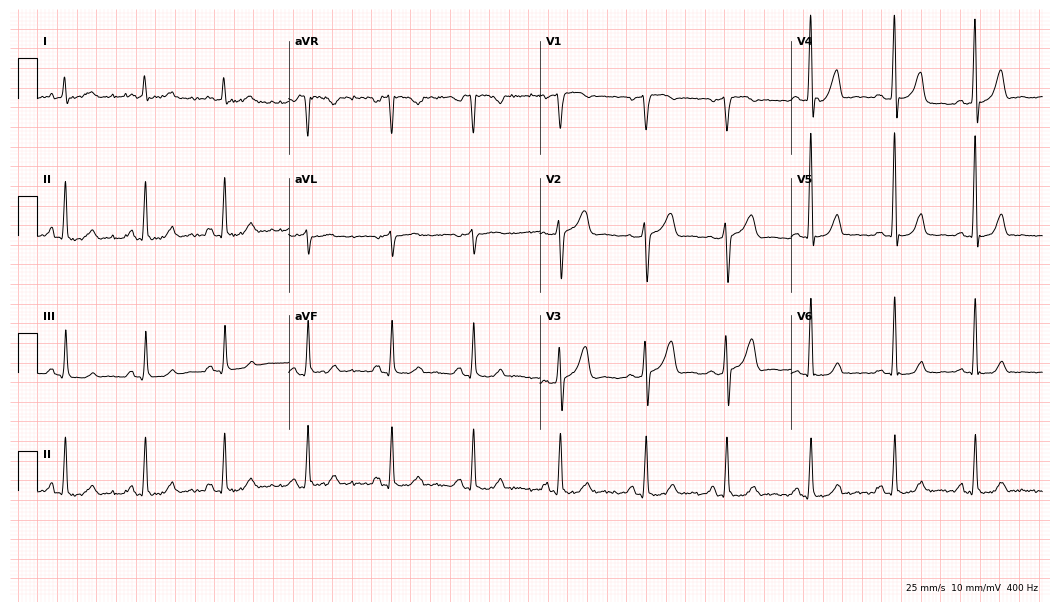
12-lead ECG from a man, 53 years old. Labelled as a normal ECG.